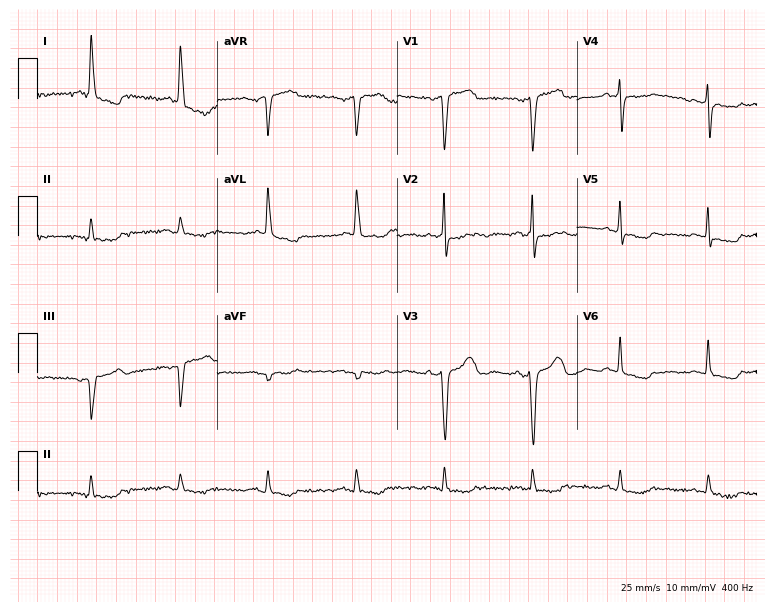
Resting 12-lead electrocardiogram (7.3-second recording at 400 Hz). Patient: an 82-year-old female. None of these six findings is recorded: first-degree AV block, right bundle branch block (RBBB), left bundle branch block (LBBB), sinus bradycardia, atrial fibrillation (AF), sinus tachycardia. Findings outside these six are not listed.